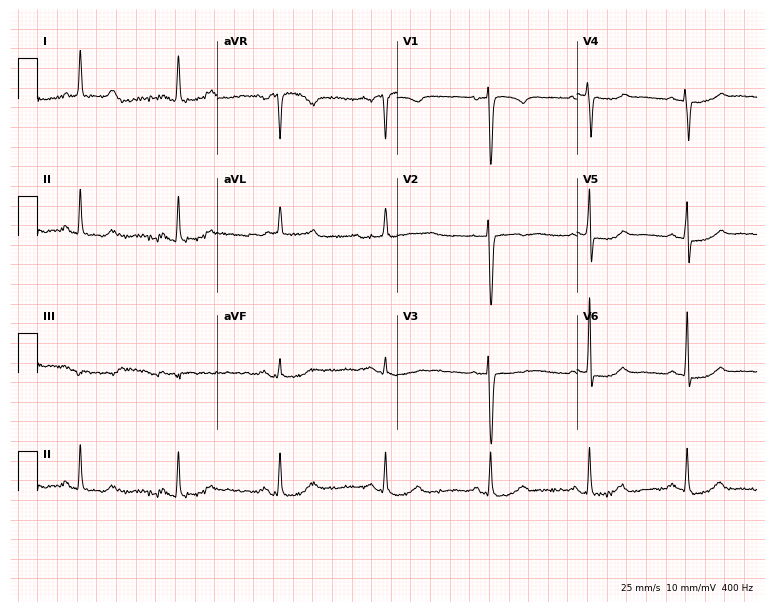
12-lead ECG from a female patient, 67 years old (7.3-second recording at 400 Hz). No first-degree AV block, right bundle branch block, left bundle branch block, sinus bradycardia, atrial fibrillation or sinus tachycardia recorded for this tracing. Only these six findings were labelled.